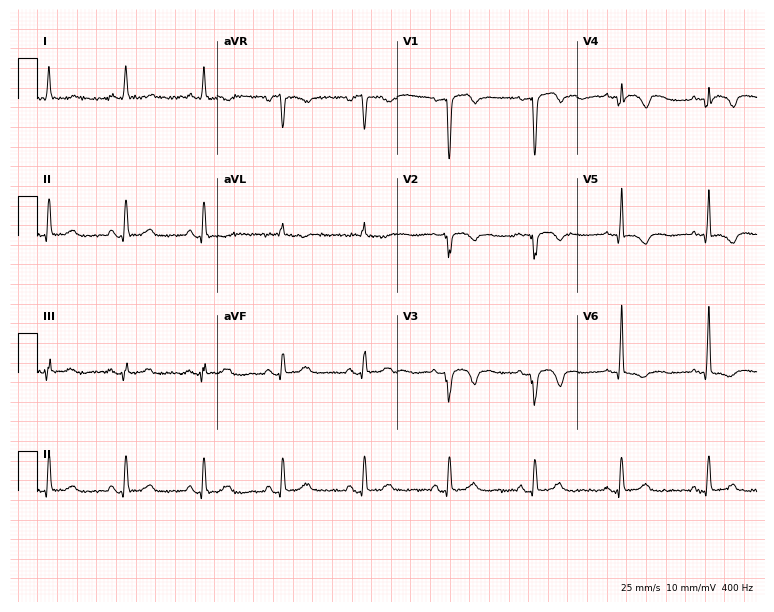
ECG (7.3-second recording at 400 Hz) — a man, 76 years old. Labelled as a normal ECG.